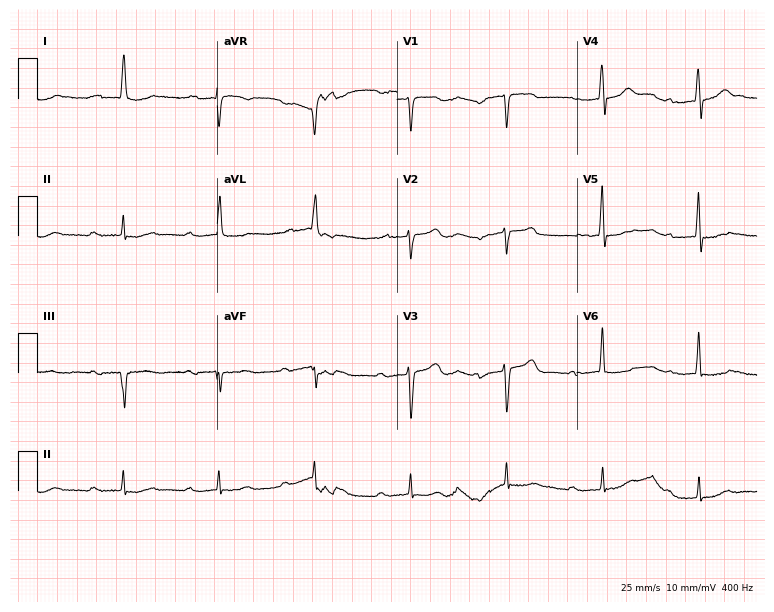
Electrocardiogram (7.3-second recording at 400 Hz), an 81-year-old male. Interpretation includes first-degree AV block.